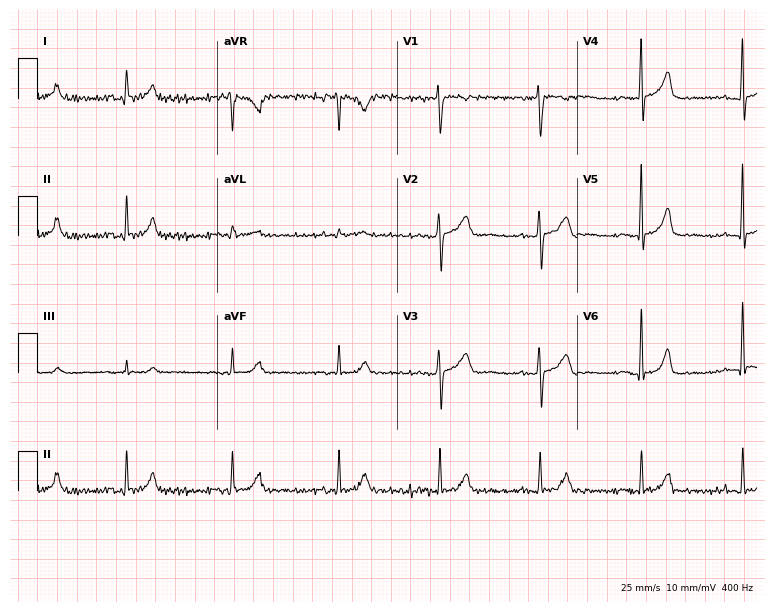
Standard 12-lead ECG recorded from a man, 56 years old (7.3-second recording at 400 Hz). None of these six findings is recorded: first-degree AV block, right bundle branch block (RBBB), left bundle branch block (LBBB), sinus bradycardia, atrial fibrillation (AF), sinus tachycardia. Findings outside these six are not listed.